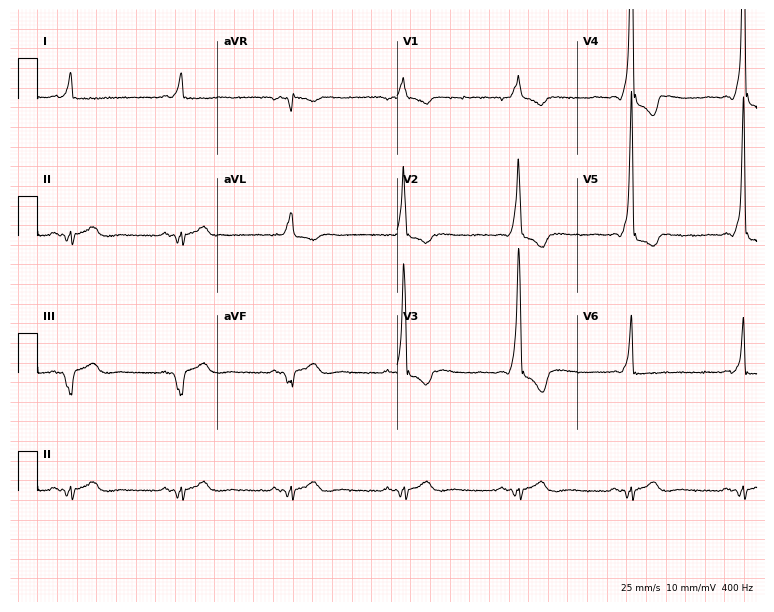
Resting 12-lead electrocardiogram. Patient: a male, 38 years old. None of these six findings is recorded: first-degree AV block, right bundle branch block, left bundle branch block, sinus bradycardia, atrial fibrillation, sinus tachycardia. Only these six findings were labelled.